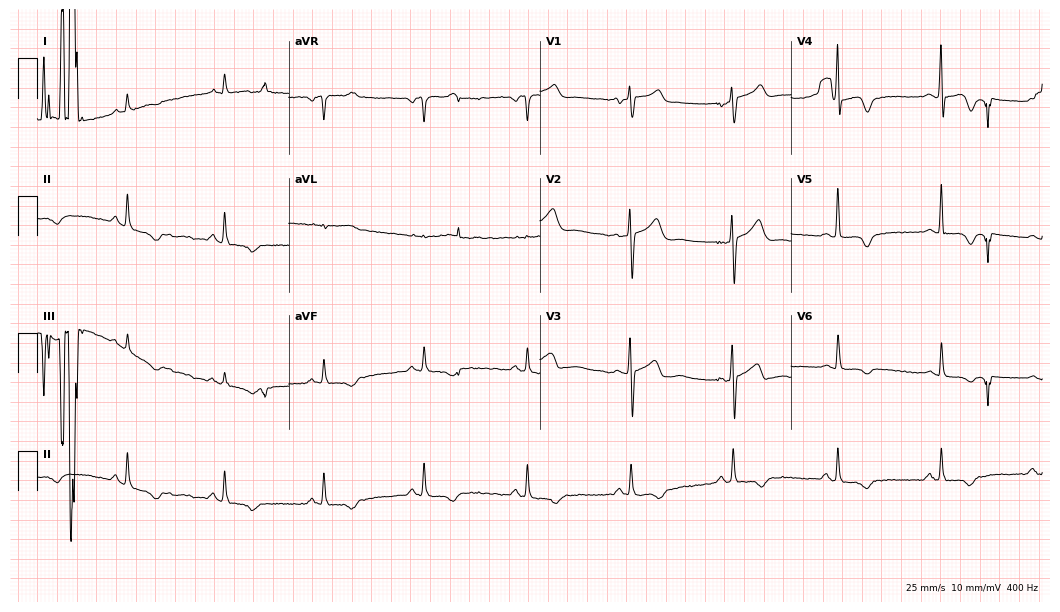
12-lead ECG from a 65-year-old man (10.2-second recording at 400 Hz). No first-degree AV block, right bundle branch block (RBBB), left bundle branch block (LBBB), sinus bradycardia, atrial fibrillation (AF) or sinus tachycardia recorded for this tracing.